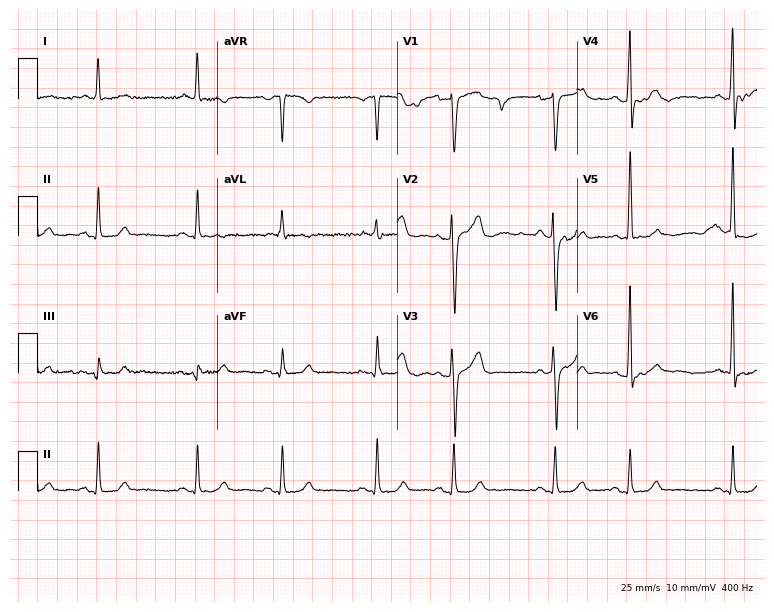
12-lead ECG from a male, 78 years old. No first-degree AV block, right bundle branch block, left bundle branch block, sinus bradycardia, atrial fibrillation or sinus tachycardia recorded for this tracing. Findings outside these six are not listed.